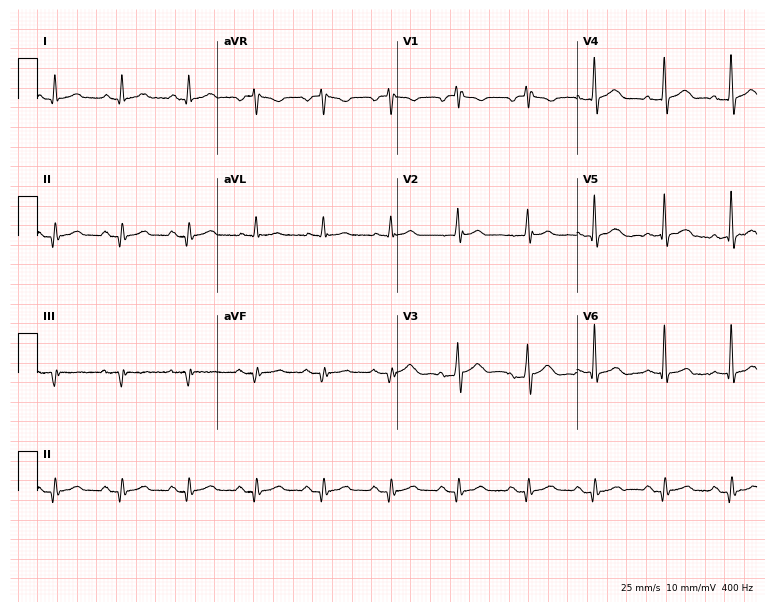
ECG (7.3-second recording at 400 Hz) — a man, 37 years old. Screened for six findings — first-degree AV block, right bundle branch block (RBBB), left bundle branch block (LBBB), sinus bradycardia, atrial fibrillation (AF), sinus tachycardia — none is recorded.